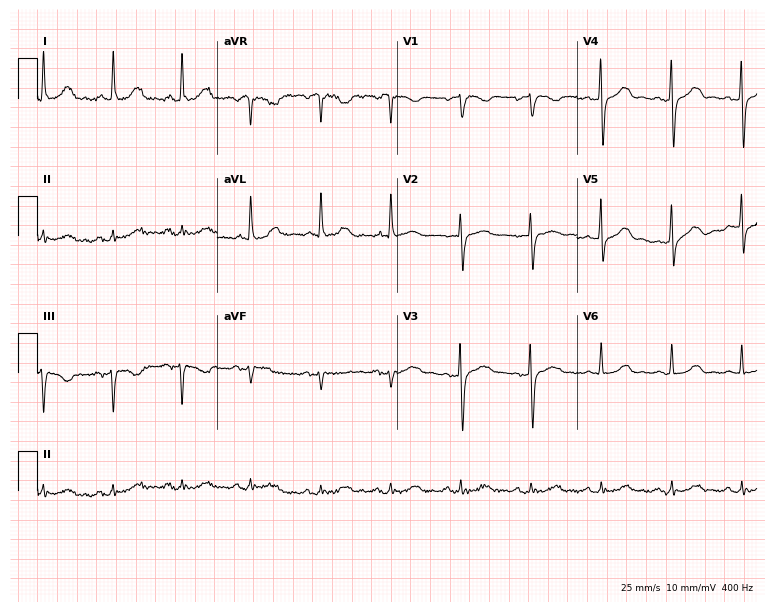
Electrocardiogram, a female patient, 76 years old. Overall reading on record: normal ECG.